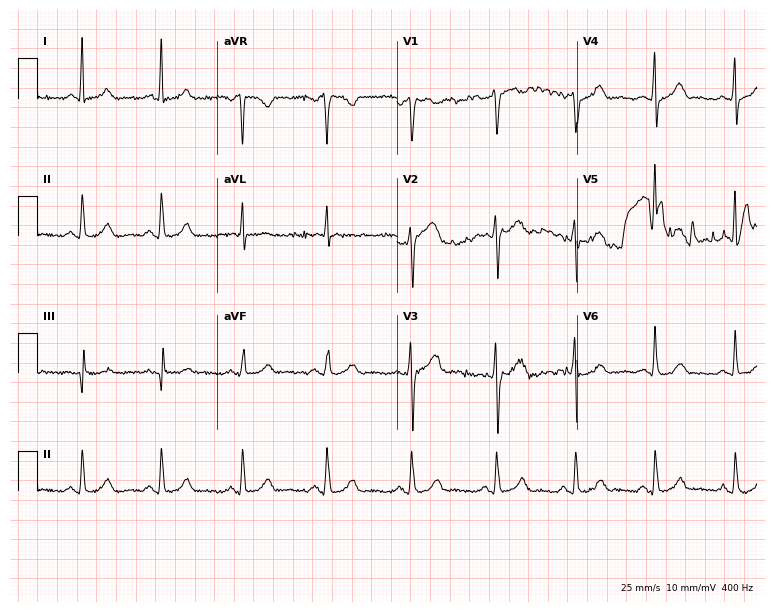
12-lead ECG from a 39-year-old female (7.3-second recording at 400 Hz). No first-degree AV block, right bundle branch block (RBBB), left bundle branch block (LBBB), sinus bradycardia, atrial fibrillation (AF) or sinus tachycardia recorded for this tracing.